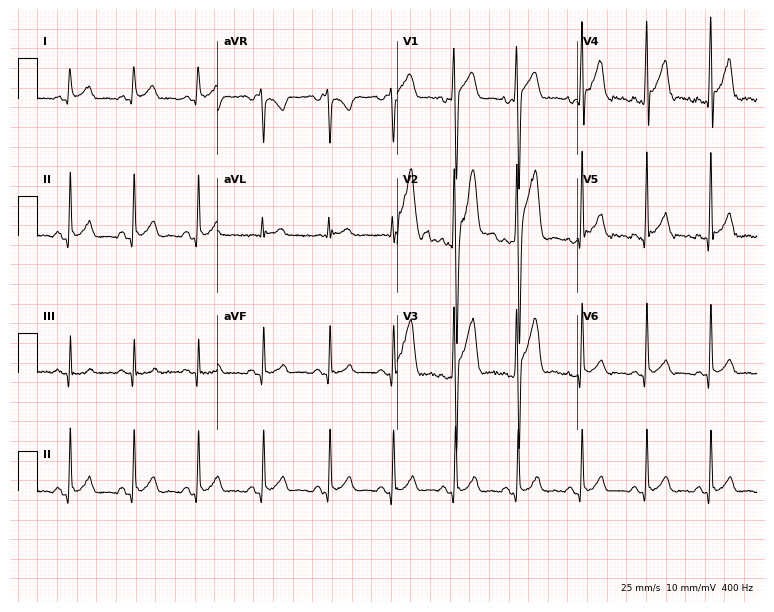
12-lead ECG (7.3-second recording at 400 Hz) from a male, 34 years old. Screened for six findings — first-degree AV block, right bundle branch block, left bundle branch block, sinus bradycardia, atrial fibrillation, sinus tachycardia — none is recorded. Only these six findings were labelled.